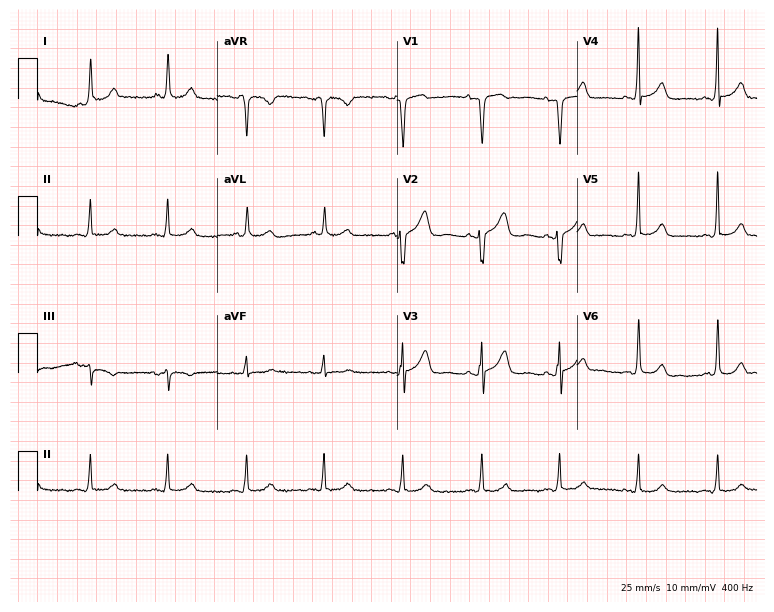
Standard 12-lead ECG recorded from a woman, 58 years old. Read as a normal ECG.